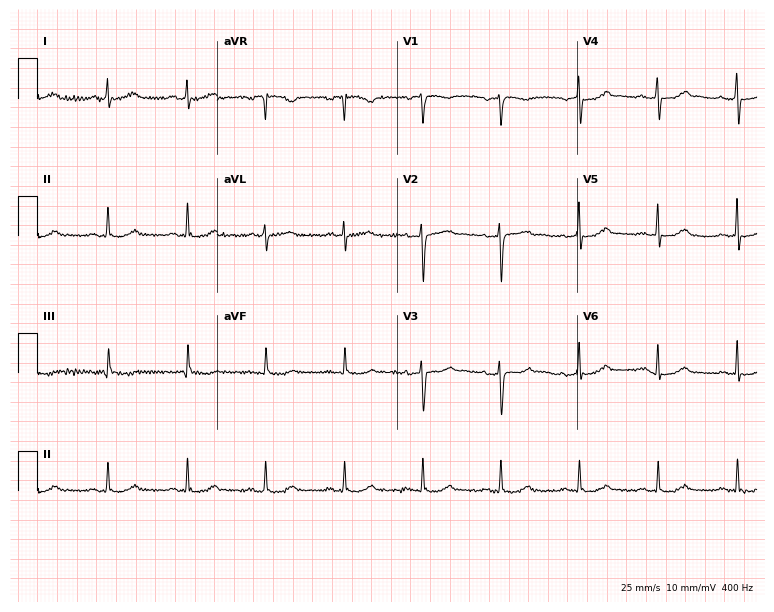
12-lead ECG from a woman, 62 years old (7.3-second recording at 400 Hz). Recorded interpretation: within normal limits.